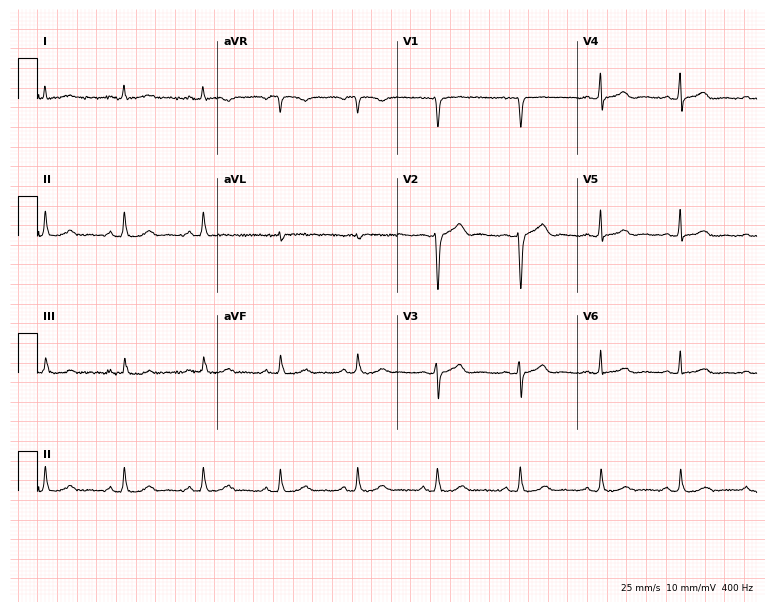
12-lead ECG from a female, 47 years old. Recorded interpretation: within normal limits.